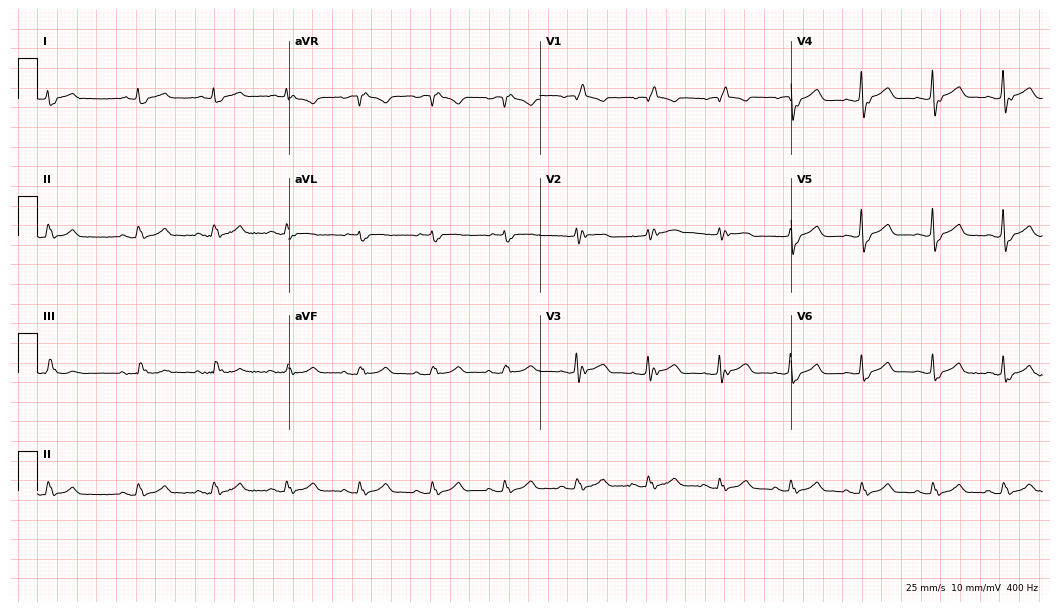
12-lead ECG from a man, 84 years old (10.2-second recording at 400 Hz). No first-degree AV block, right bundle branch block, left bundle branch block, sinus bradycardia, atrial fibrillation or sinus tachycardia recorded for this tracing.